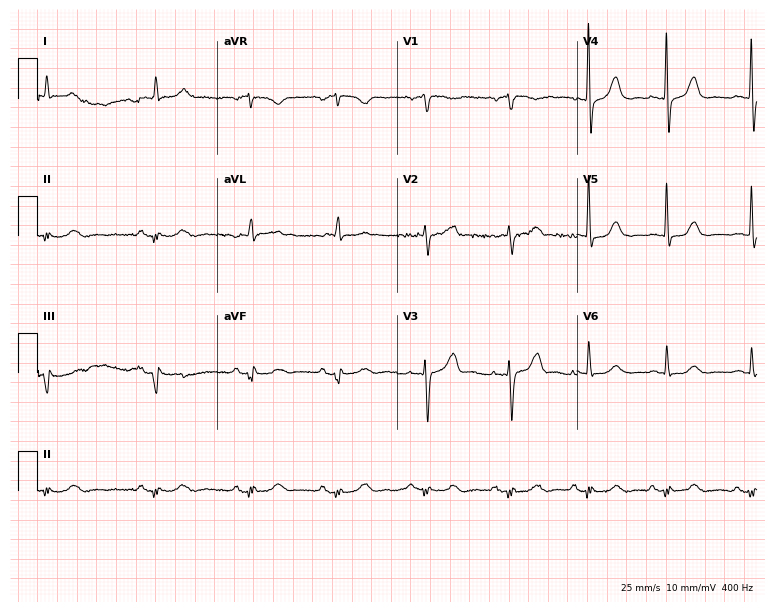
12-lead ECG from a 77-year-old male. No first-degree AV block, right bundle branch block, left bundle branch block, sinus bradycardia, atrial fibrillation or sinus tachycardia recorded for this tracing. Only these six findings were labelled.